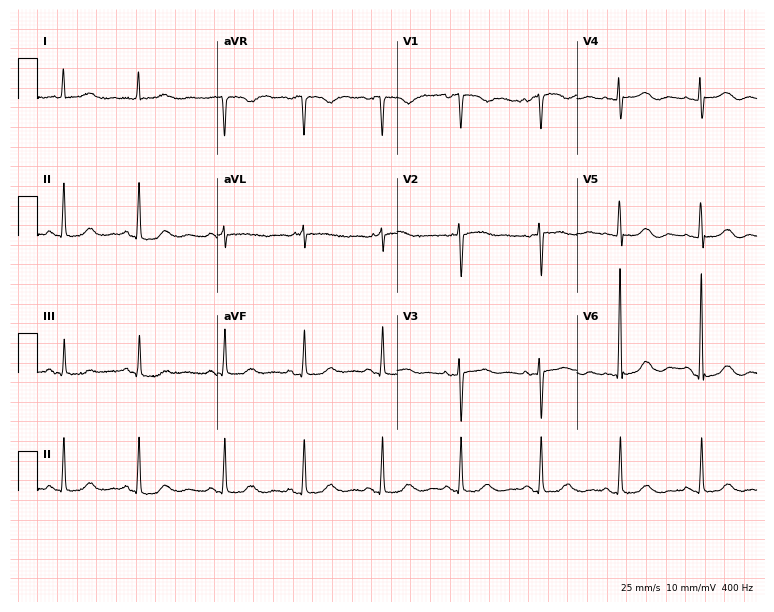
ECG — a woman, 71 years old. Labelled as a normal ECG.